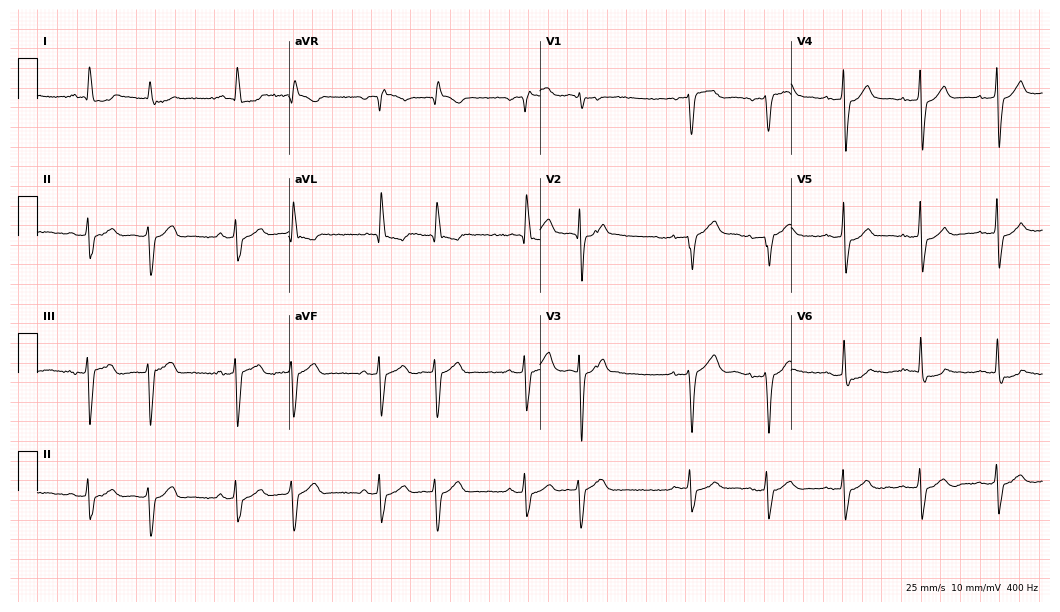
Electrocardiogram, a 77-year-old man. Of the six screened findings (first-degree AV block, right bundle branch block, left bundle branch block, sinus bradycardia, atrial fibrillation, sinus tachycardia), none is recorded.